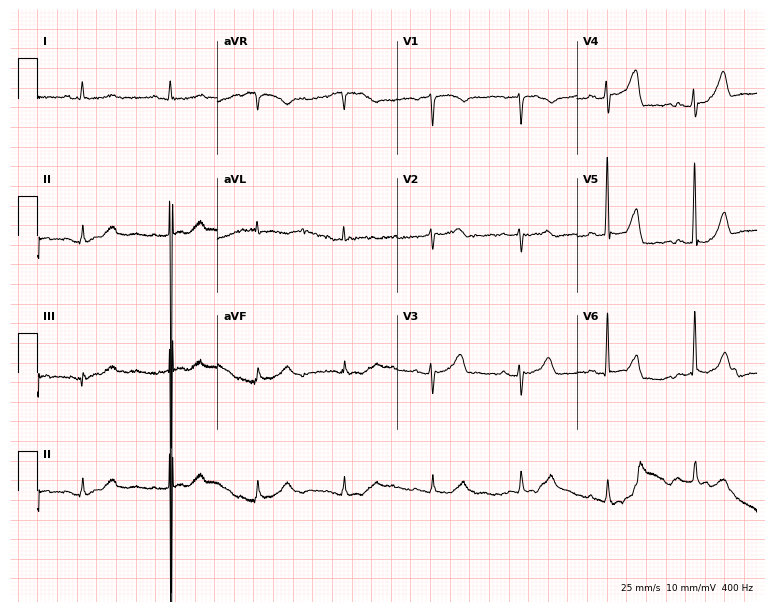
12-lead ECG from a 79-year-old female patient. No first-degree AV block, right bundle branch block, left bundle branch block, sinus bradycardia, atrial fibrillation or sinus tachycardia recorded for this tracing.